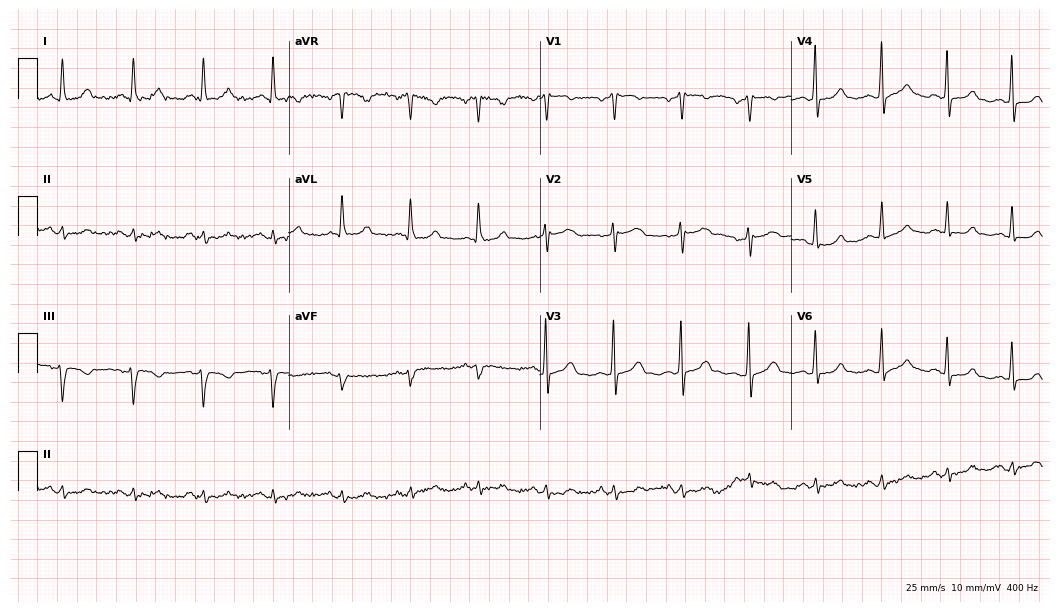
Electrocardiogram (10.2-second recording at 400 Hz), a 62-year-old woman. Of the six screened findings (first-degree AV block, right bundle branch block (RBBB), left bundle branch block (LBBB), sinus bradycardia, atrial fibrillation (AF), sinus tachycardia), none is recorded.